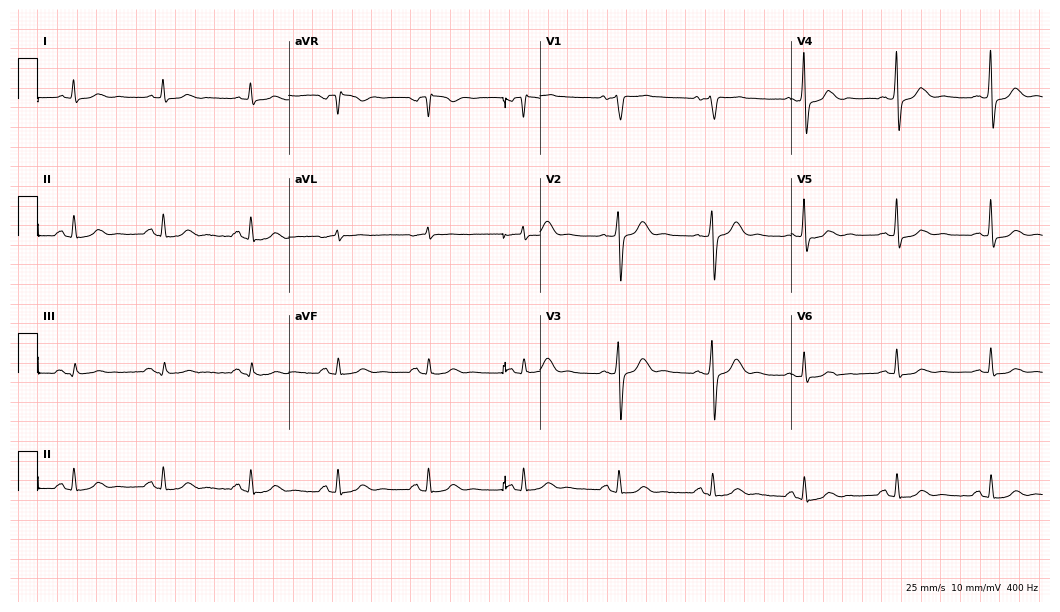
Standard 12-lead ECG recorded from a male, 70 years old. None of these six findings is recorded: first-degree AV block, right bundle branch block, left bundle branch block, sinus bradycardia, atrial fibrillation, sinus tachycardia.